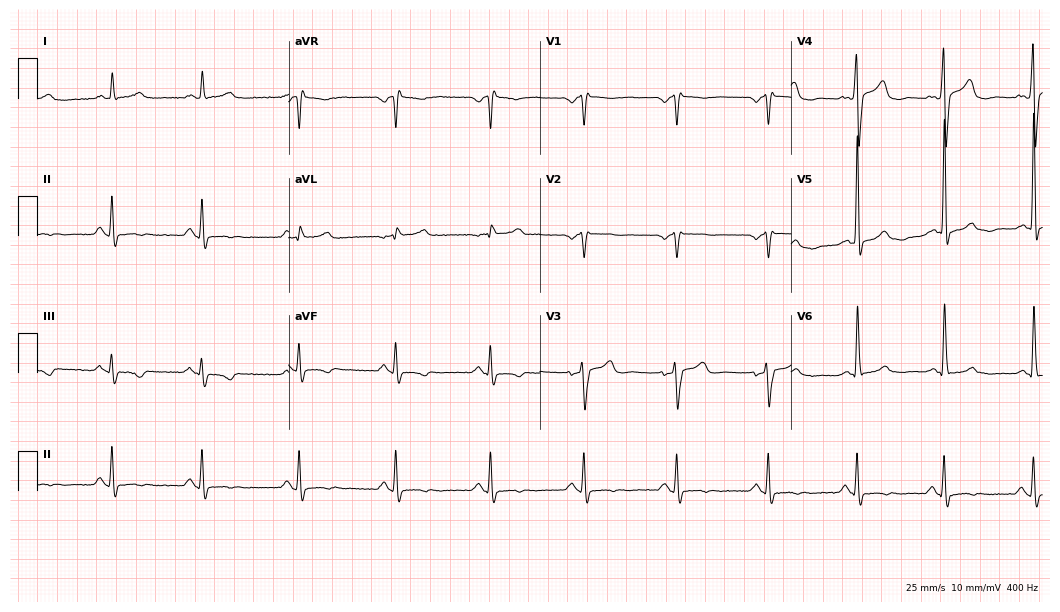
12-lead ECG from a man, 62 years old. No first-degree AV block, right bundle branch block, left bundle branch block, sinus bradycardia, atrial fibrillation or sinus tachycardia recorded for this tracing.